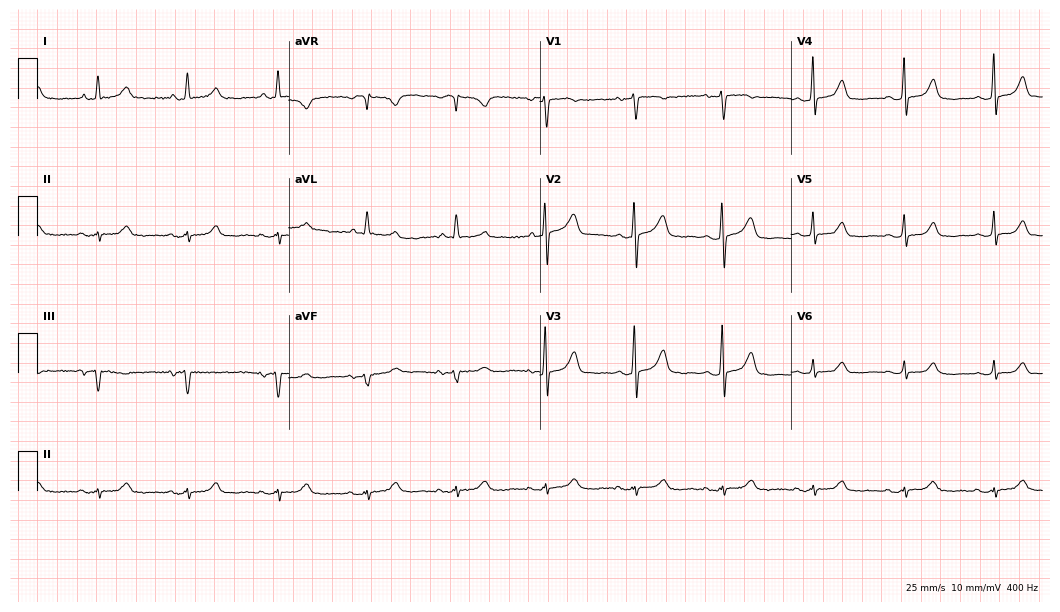
ECG — a 73-year-old female patient. Screened for six findings — first-degree AV block, right bundle branch block, left bundle branch block, sinus bradycardia, atrial fibrillation, sinus tachycardia — none is recorded. Findings outside these six are not listed.